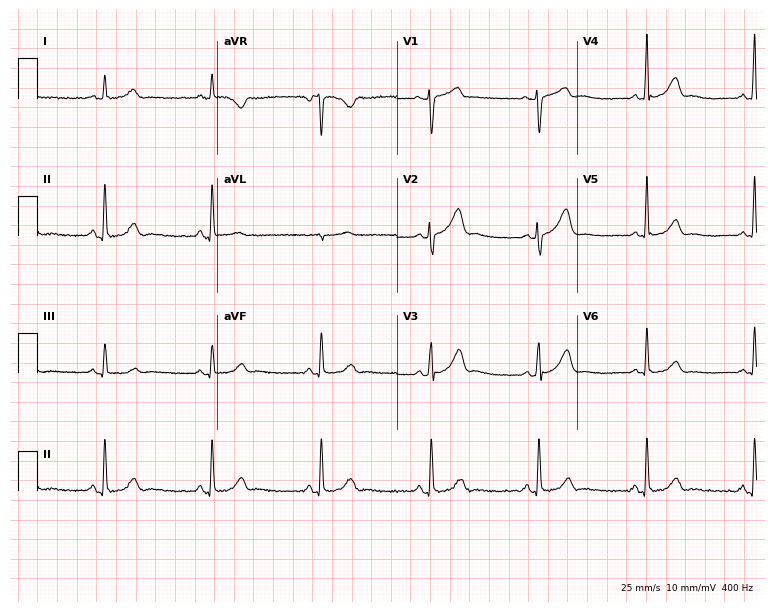
Electrocardiogram, a 46-year-old female. Of the six screened findings (first-degree AV block, right bundle branch block, left bundle branch block, sinus bradycardia, atrial fibrillation, sinus tachycardia), none is recorded.